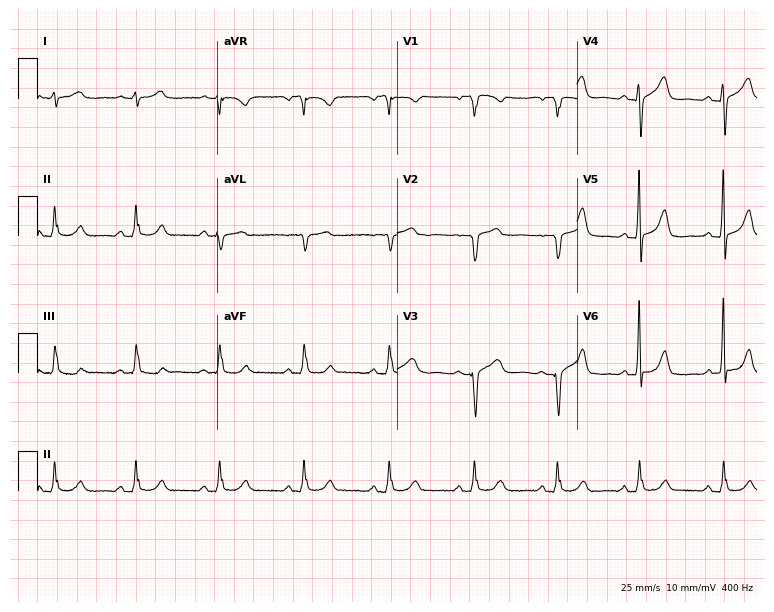
ECG (7.3-second recording at 400 Hz) — a 47-year-old female. Screened for six findings — first-degree AV block, right bundle branch block, left bundle branch block, sinus bradycardia, atrial fibrillation, sinus tachycardia — none is recorded. Only these six findings were labelled.